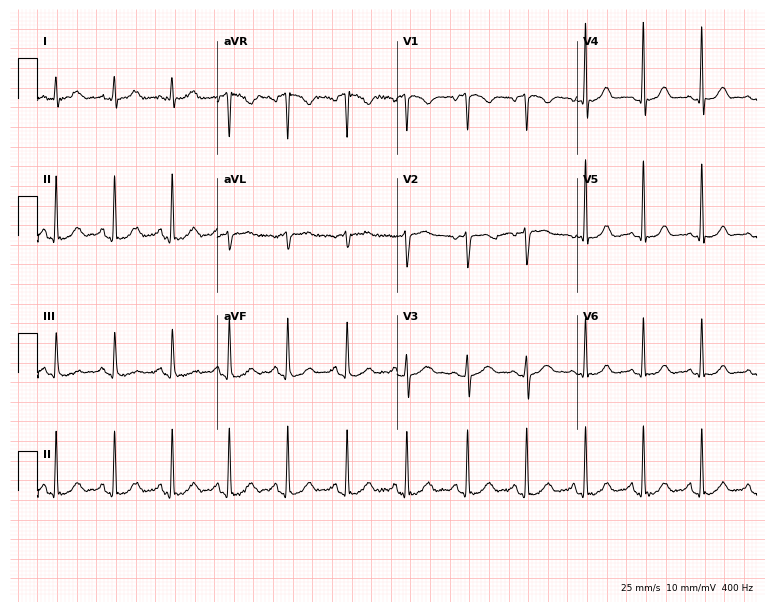
ECG — a 39-year-old female patient. Screened for six findings — first-degree AV block, right bundle branch block (RBBB), left bundle branch block (LBBB), sinus bradycardia, atrial fibrillation (AF), sinus tachycardia — none is recorded. Other findings, if any, are not listed.